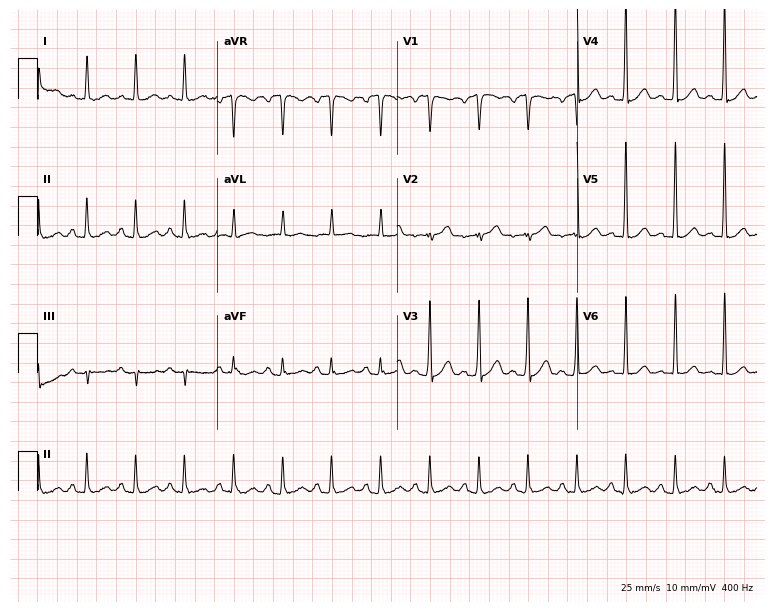
Resting 12-lead electrocardiogram (7.3-second recording at 400 Hz). Patient: a 56-year-old male. The tracing shows sinus tachycardia (a sinus rate of 100 beats per minute or more).